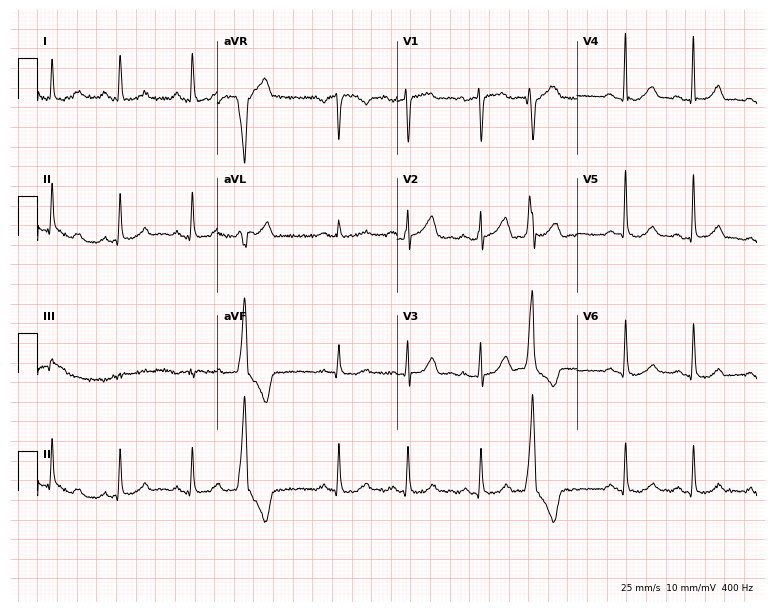
12-lead ECG (7.3-second recording at 400 Hz) from a 56-year-old female patient. Screened for six findings — first-degree AV block, right bundle branch block (RBBB), left bundle branch block (LBBB), sinus bradycardia, atrial fibrillation (AF), sinus tachycardia — none is recorded.